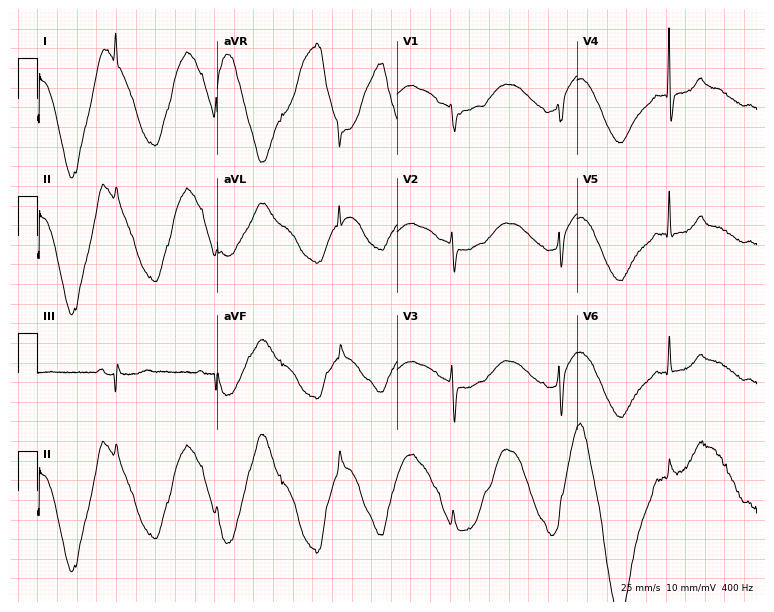
Standard 12-lead ECG recorded from a female, 84 years old (7.3-second recording at 400 Hz). None of these six findings is recorded: first-degree AV block, right bundle branch block, left bundle branch block, sinus bradycardia, atrial fibrillation, sinus tachycardia.